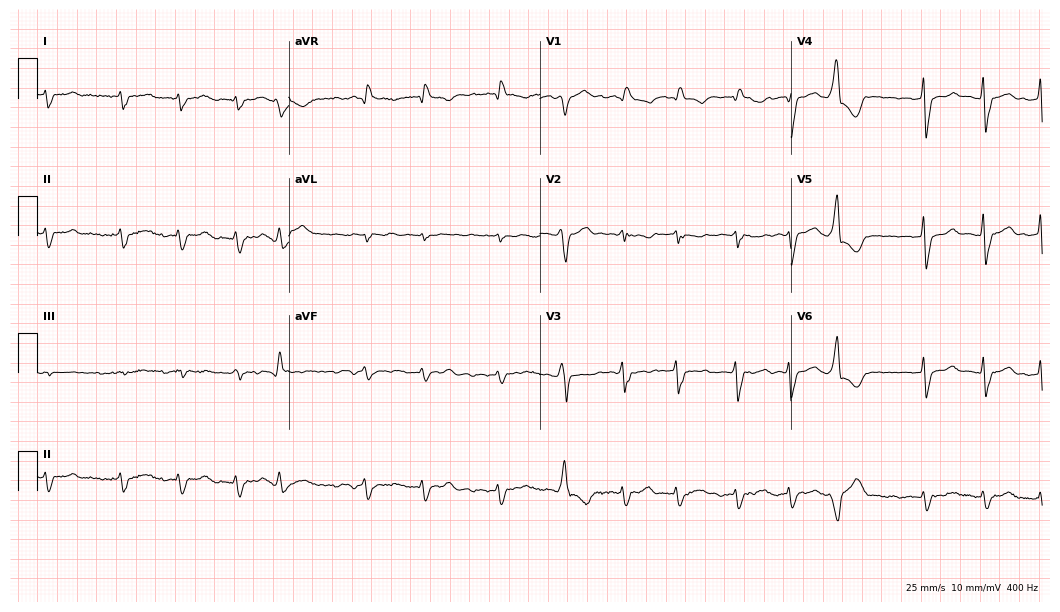
ECG — a 73-year-old male patient. Findings include right bundle branch block, atrial fibrillation.